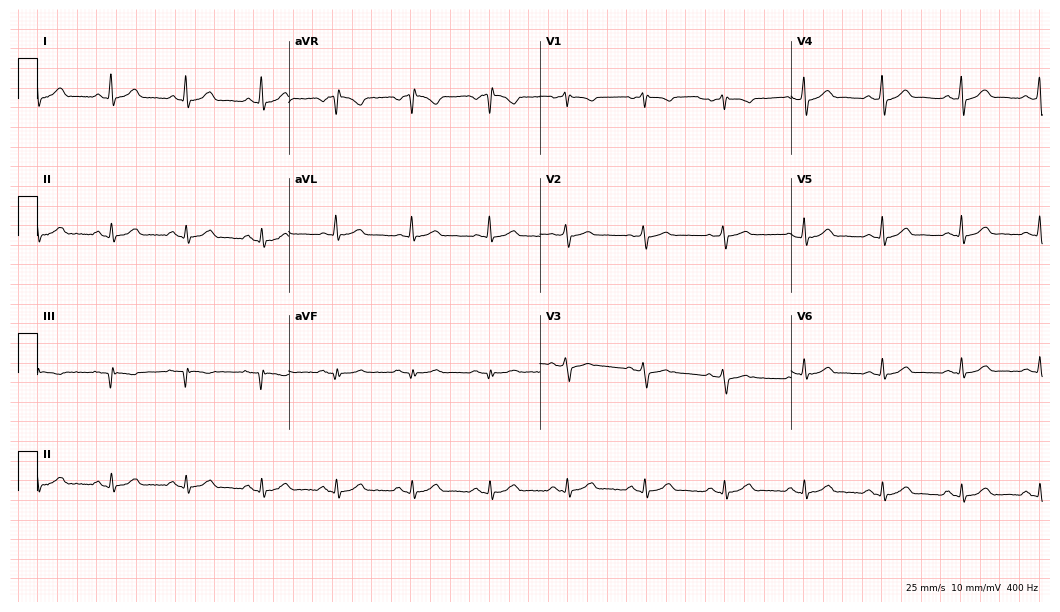
12-lead ECG from a 59-year-old female. Labelled as a normal ECG.